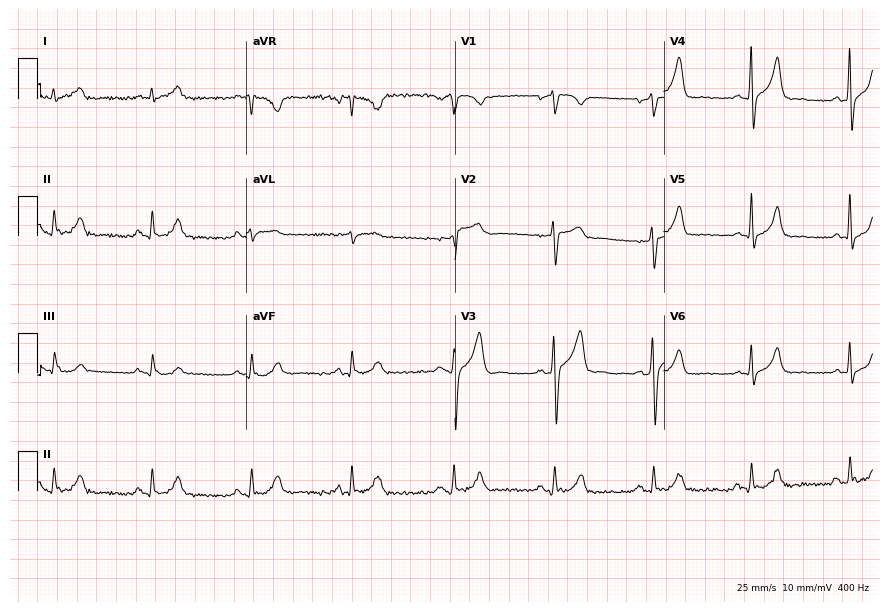
Standard 12-lead ECG recorded from a male patient, 48 years old. None of these six findings is recorded: first-degree AV block, right bundle branch block, left bundle branch block, sinus bradycardia, atrial fibrillation, sinus tachycardia.